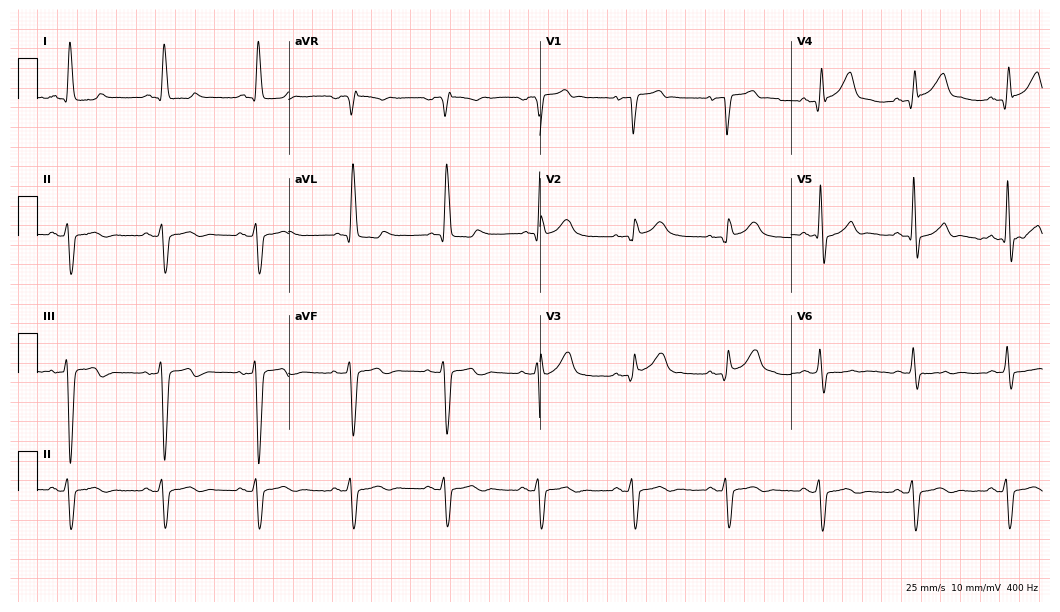
ECG (10.2-second recording at 400 Hz) — a male, 75 years old. Screened for six findings — first-degree AV block, right bundle branch block (RBBB), left bundle branch block (LBBB), sinus bradycardia, atrial fibrillation (AF), sinus tachycardia — none is recorded. Findings outside these six are not listed.